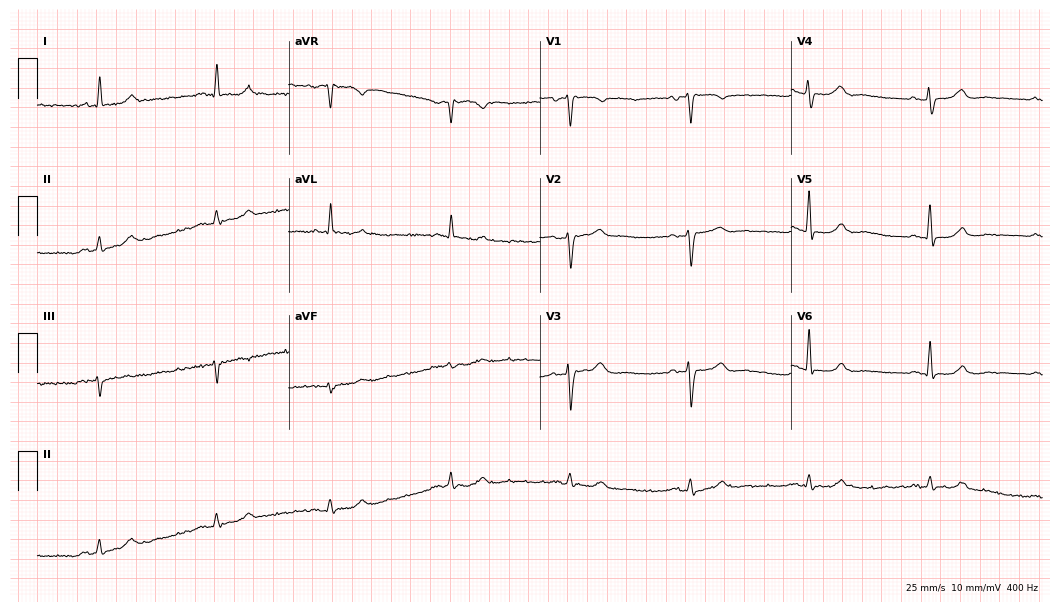
12-lead ECG (10.2-second recording at 400 Hz) from a man, 76 years old. Labelled as a normal ECG.